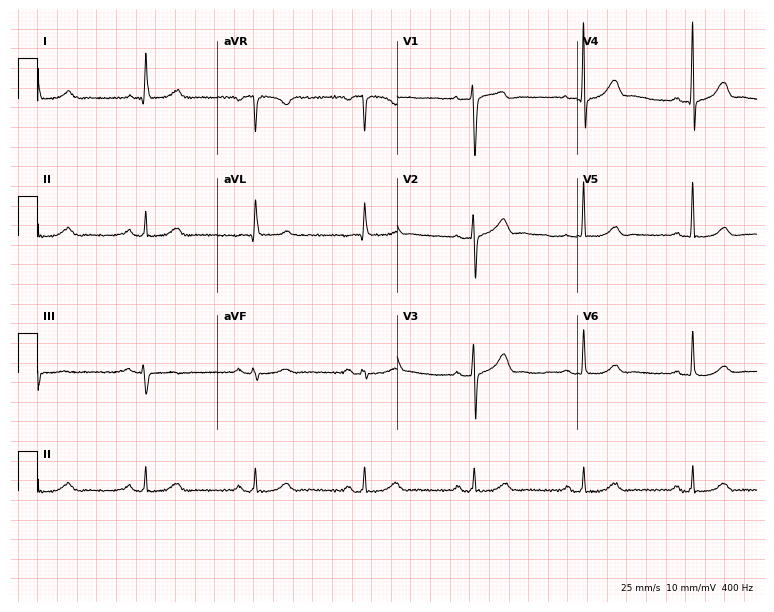
Standard 12-lead ECG recorded from a 76-year-old male patient (7.3-second recording at 400 Hz). None of these six findings is recorded: first-degree AV block, right bundle branch block, left bundle branch block, sinus bradycardia, atrial fibrillation, sinus tachycardia.